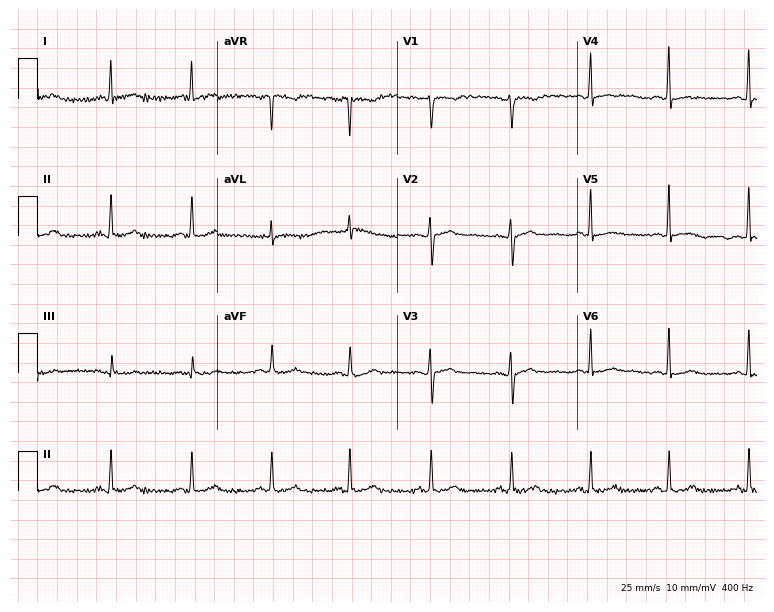
Resting 12-lead electrocardiogram. Patient: a woman, 44 years old. None of these six findings is recorded: first-degree AV block, right bundle branch block (RBBB), left bundle branch block (LBBB), sinus bradycardia, atrial fibrillation (AF), sinus tachycardia.